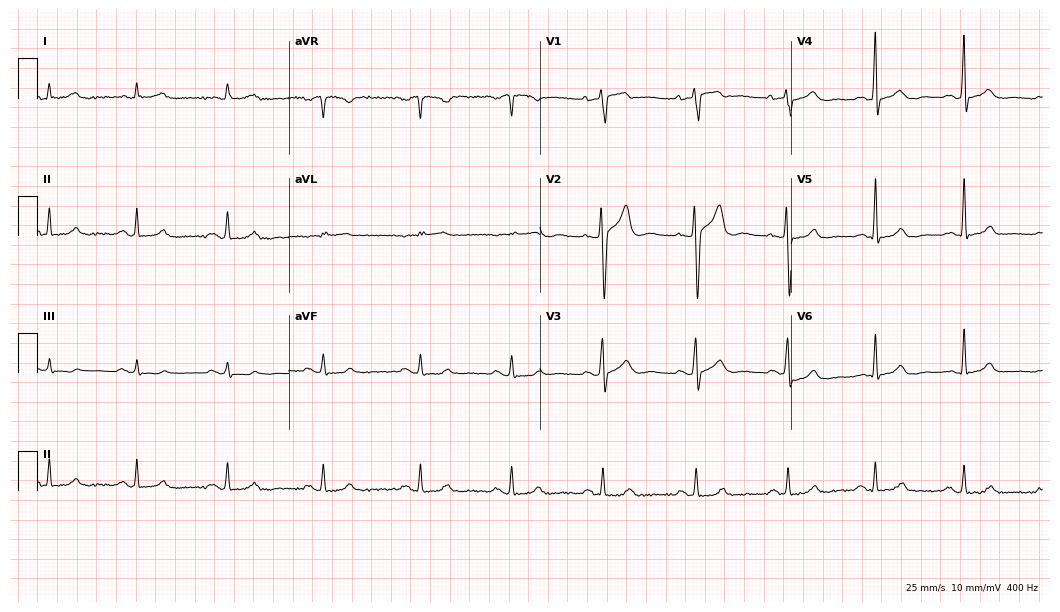
12-lead ECG from a male, 48 years old (10.2-second recording at 400 Hz). No first-degree AV block, right bundle branch block, left bundle branch block, sinus bradycardia, atrial fibrillation or sinus tachycardia recorded for this tracing. Findings outside these six are not listed.